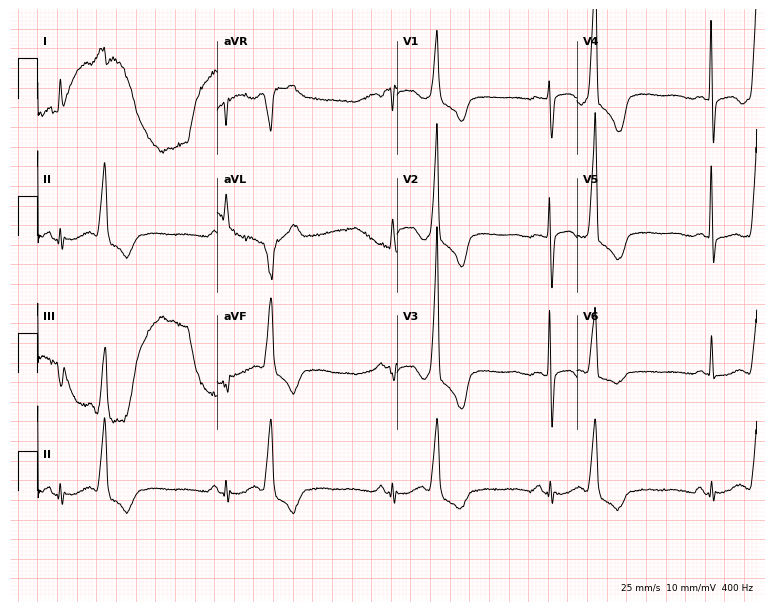
ECG — a woman, 73 years old. Screened for six findings — first-degree AV block, right bundle branch block, left bundle branch block, sinus bradycardia, atrial fibrillation, sinus tachycardia — none is recorded. Other findings, if any, are not listed.